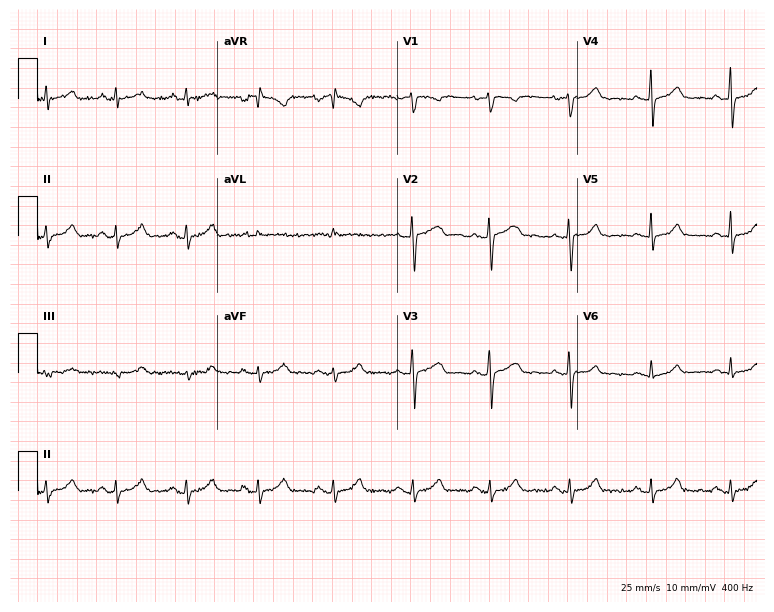
Resting 12-lead electrocardiogram (7.3-second recording at 400 Hz). Patient: a female, 40 years old. Read as a normal ECG.